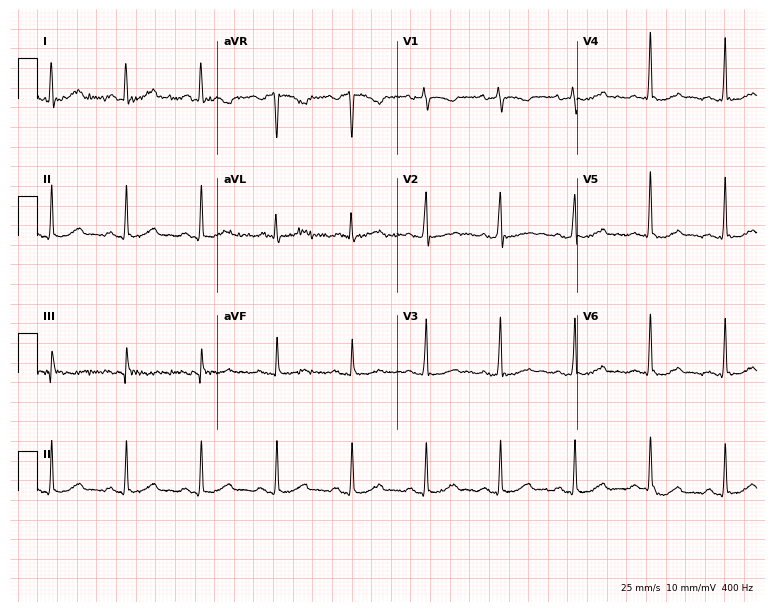
ECG — a 60-year-old woman. Labelled as a normal ECG.